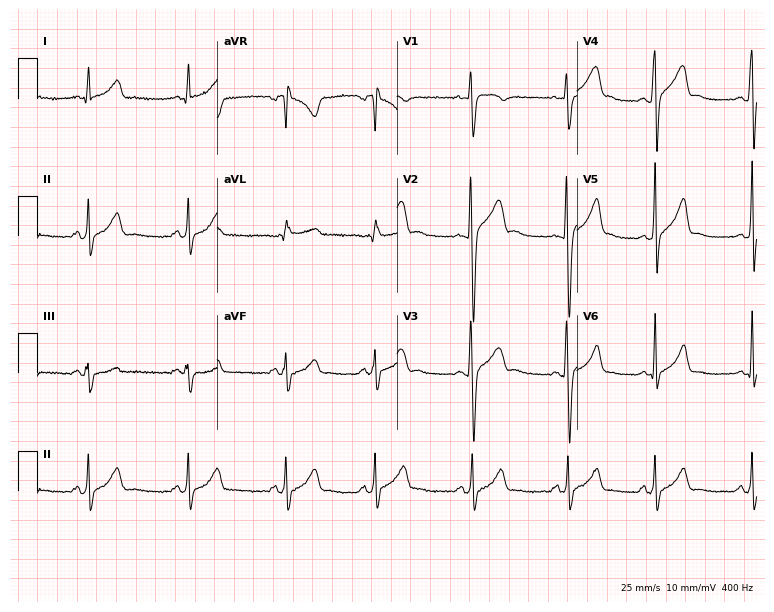
Resting 12-lead electrocardiogram. Patient: a 21-year-old female. Read as a normal ECG.